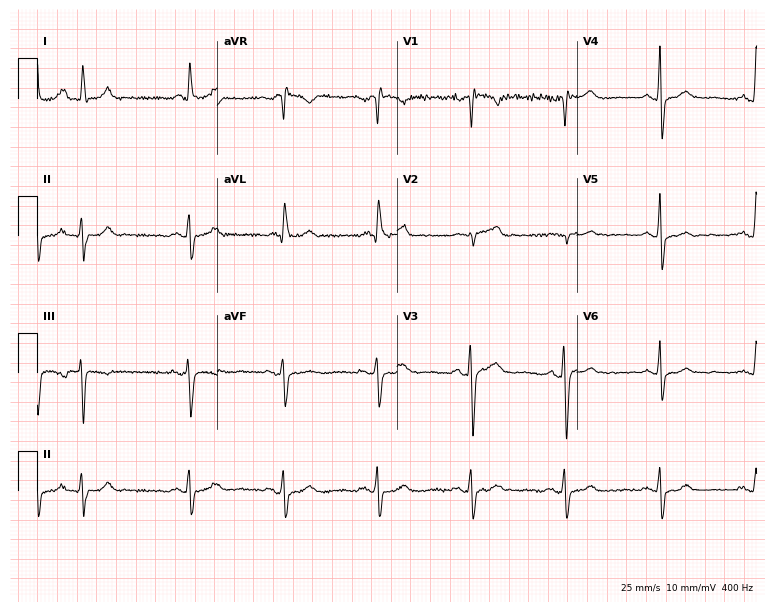
Resting 12-lead electrocardiogram. Patient: a 72-year-old man. None of these six findings is recorded: first-degree AV block, right bundle branch block, left bundle branch block, sinus bradycardia, atrial fibrillation, sinus tachycardia.